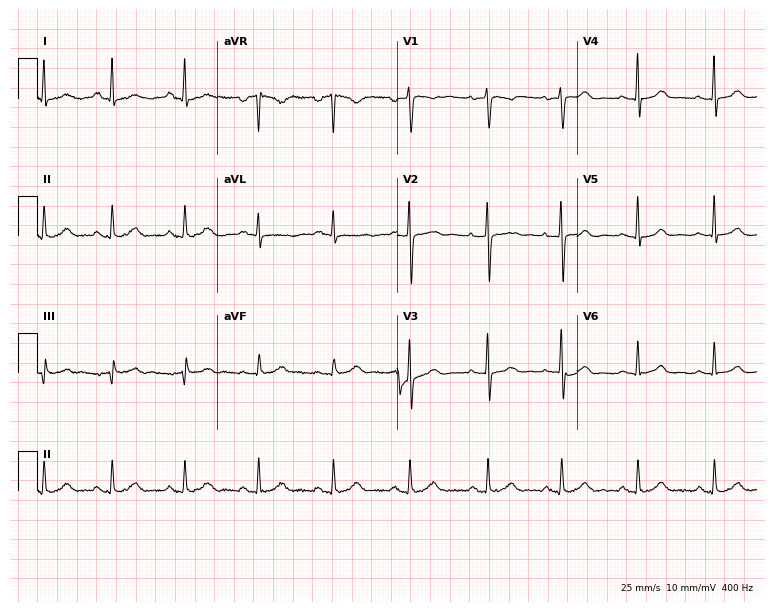
Electrocardiogram, a female patient, 40 years old. Overall reading on record: normal ECG.